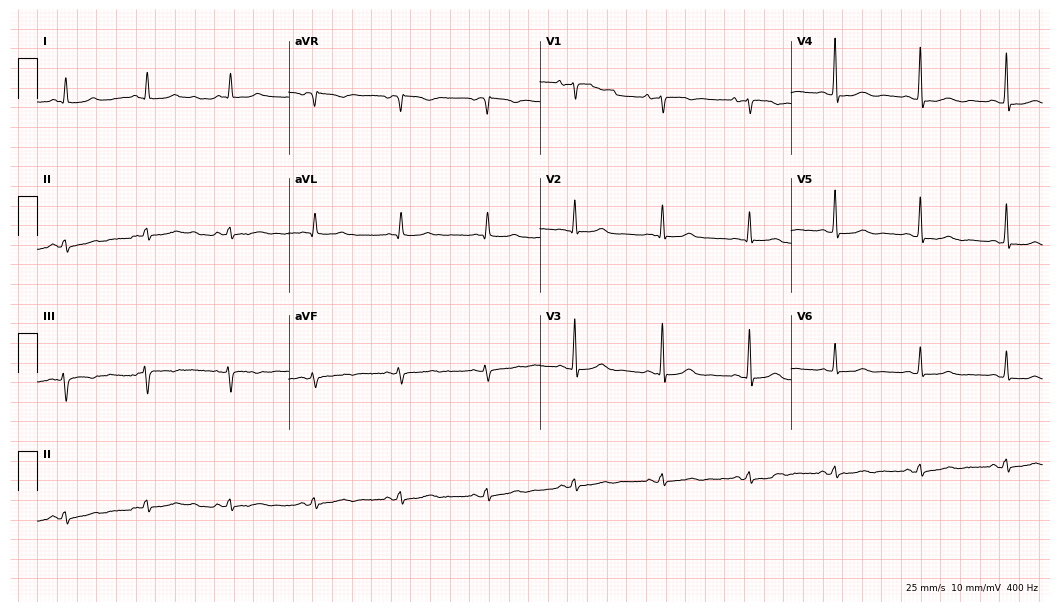
Electrocardiogram, a female, 46 years old. Overall reading on record: normal ECG.